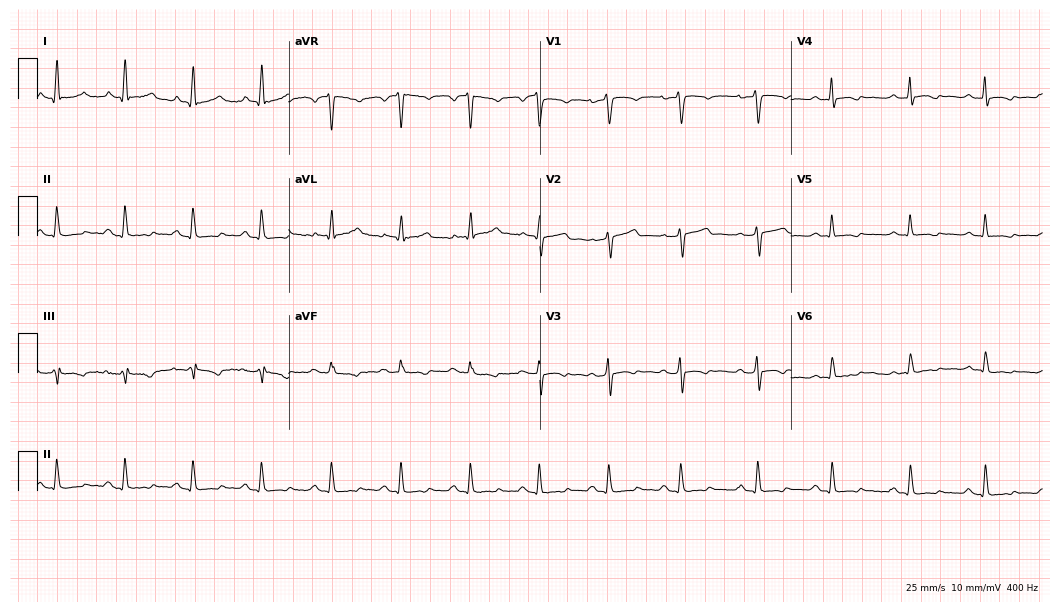
12-lead ECG from a 36-year-old woman (10.2-second recording at 400 Hz). No first-degree AV block, right bundle branch block, left bundle branch block, sinus bradycardia, atrial fibrillation or sinus tachycardia recorded for this tracing.